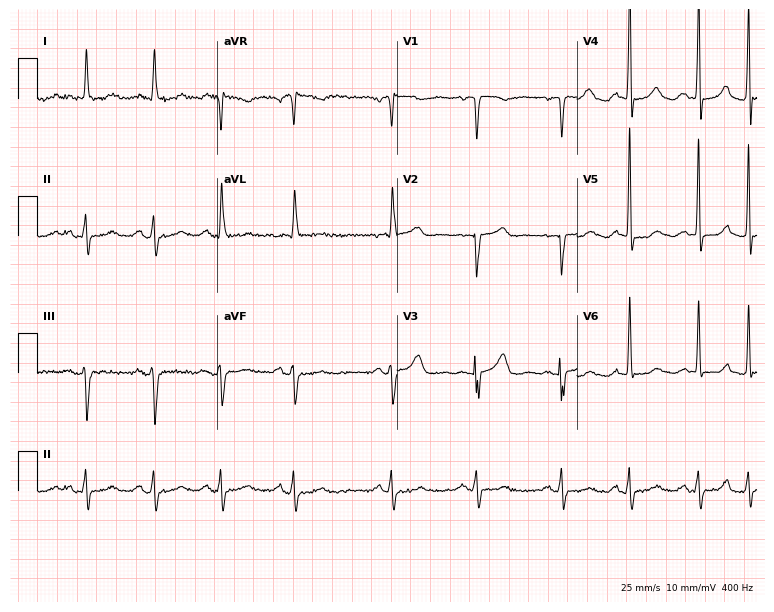
Standard 12-lead ECG recorded from a female, 70 years old (7.3-second recording at 400 Hz). None of these six findings is recorded: first-degree AV block, right bundle branch block (RBBB), left bundle branch block (LBBB), sinus bradycardia, atrial fibrillation (AF), sinus tachycardia. Other findings, if any, are not listed.